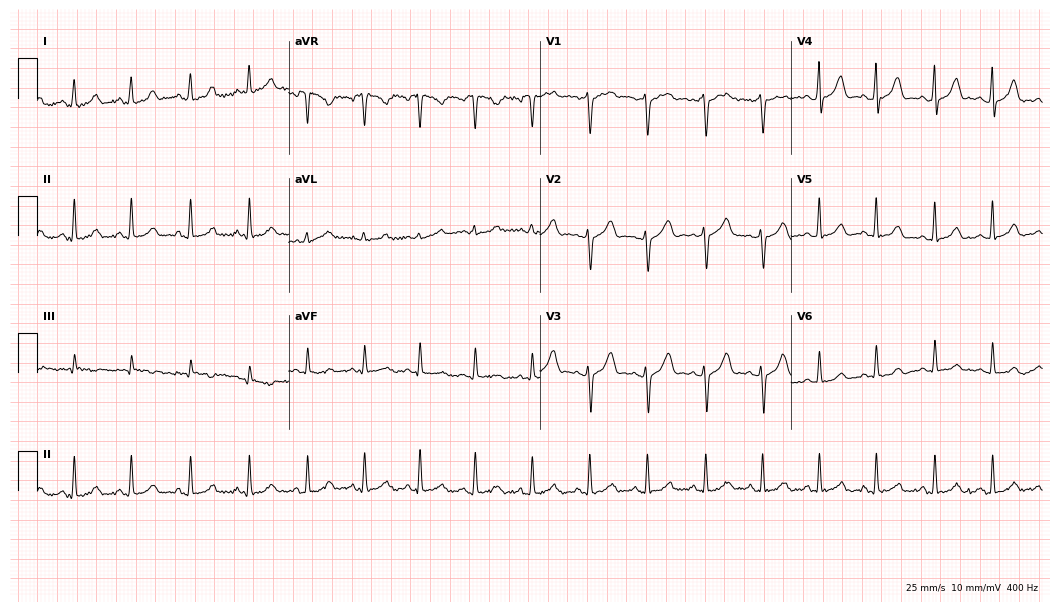
12-lead ECG from a female, 22 years old. Recorded interpretation: within normal limits.